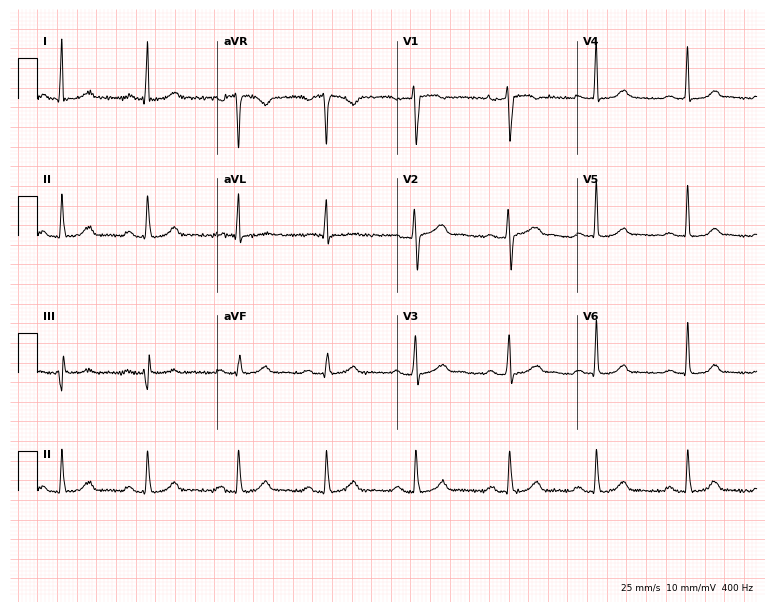
12-lead ECG (7.3-second recording at 400 Hz) from a 24-year-old woman. Labelled as a normal ECG.